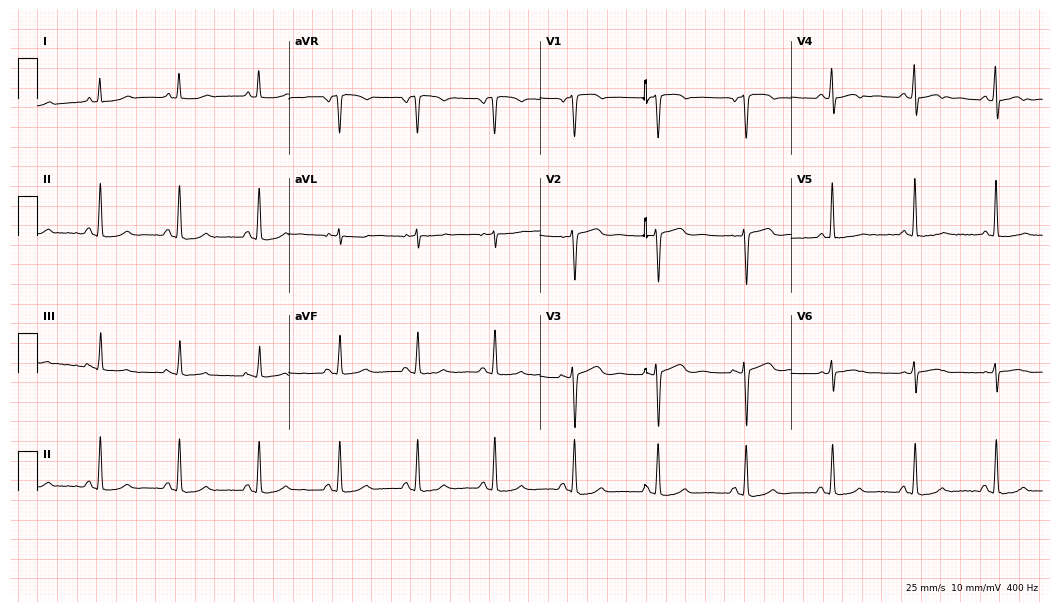
Resting 12-lead electrocardiogram. Patient: a woman, 52 years old. Read as a normal ECG.